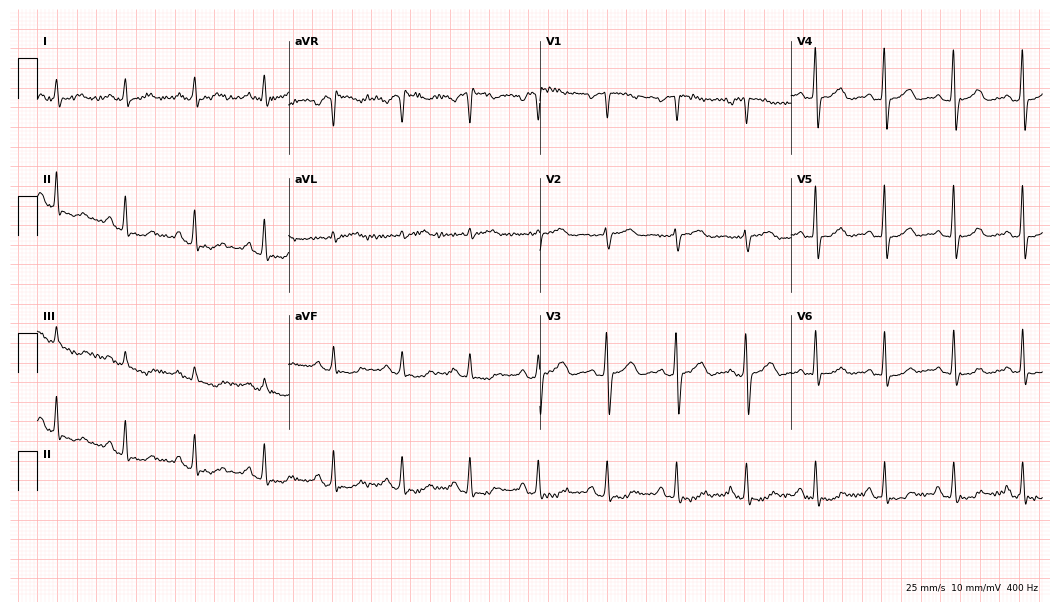
Resting 12-lead electrocardiogram. Patient: a 54-year-old female. Read as a normal ECG.